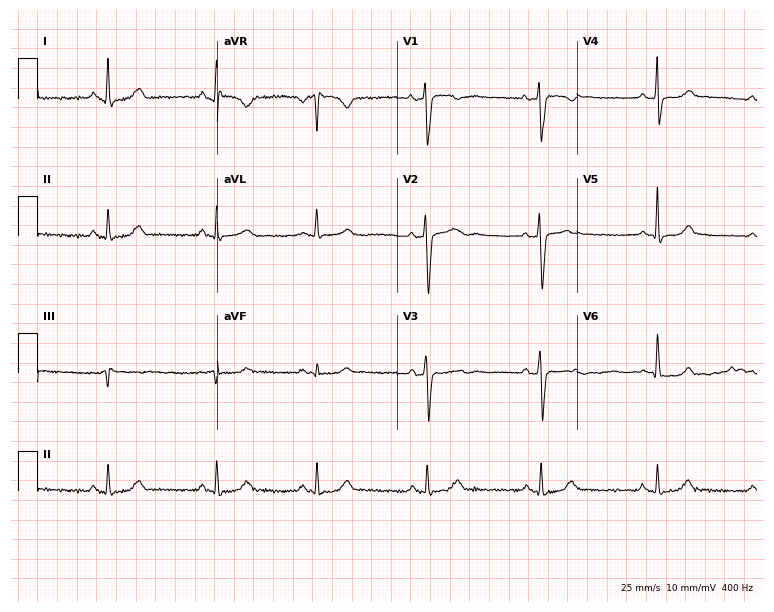
12-lead ECG from a woman, 41 years old. Screened for six findings — first-degree AV block, right bundle branch block, left bundle branch block, sinus bradycardia, atrial fibrillation, sinus tachycardia — none is recorded.